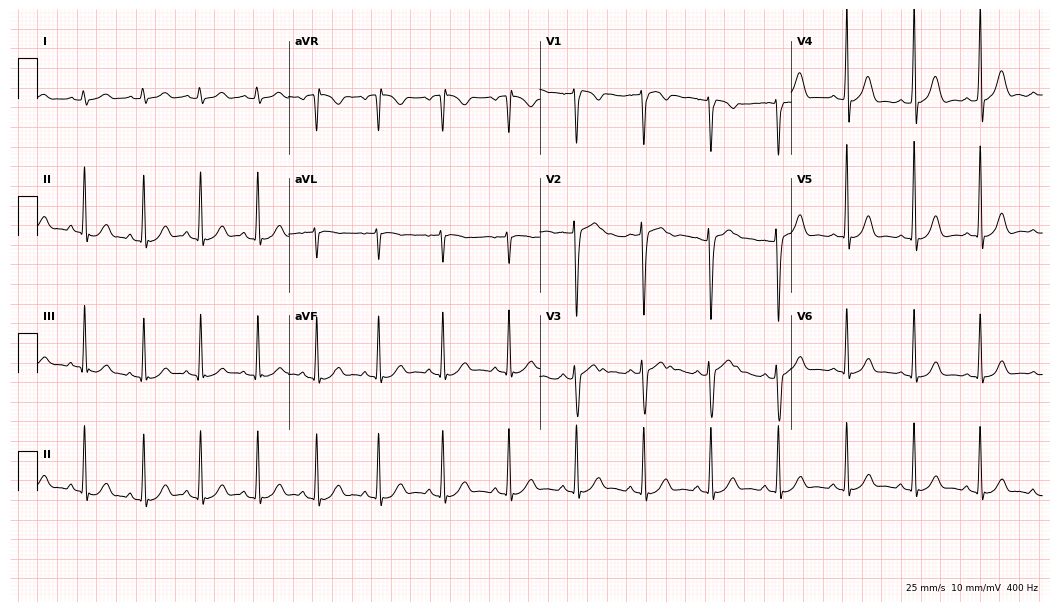
Electrocardiogram, a man, 17 years old. Overall reading on record: normal ECG.